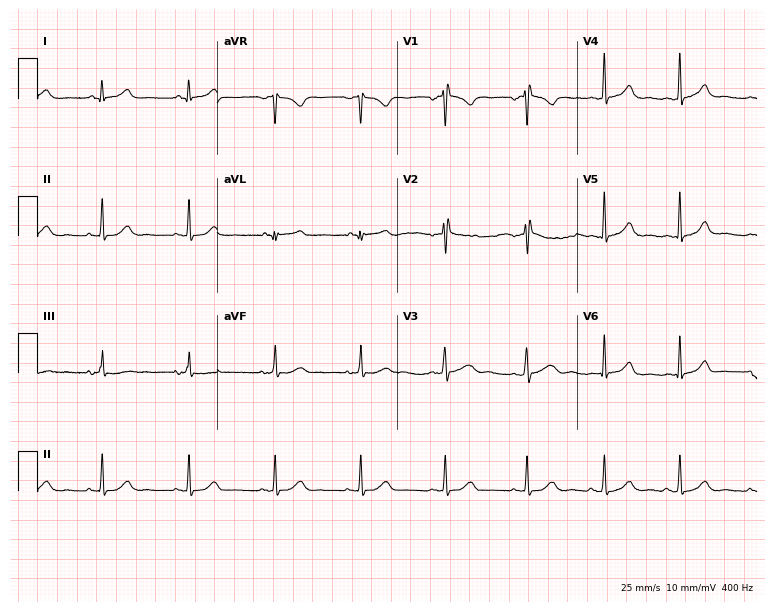
12-lead ECG from a woman, 23 years old. No first-degree AV block, right bundle branch block, left bundle branch block, sinus bradycardia, atrial fibrillation or sinus tachycardia recorded for this tracing. Findings outside these six are not listed.